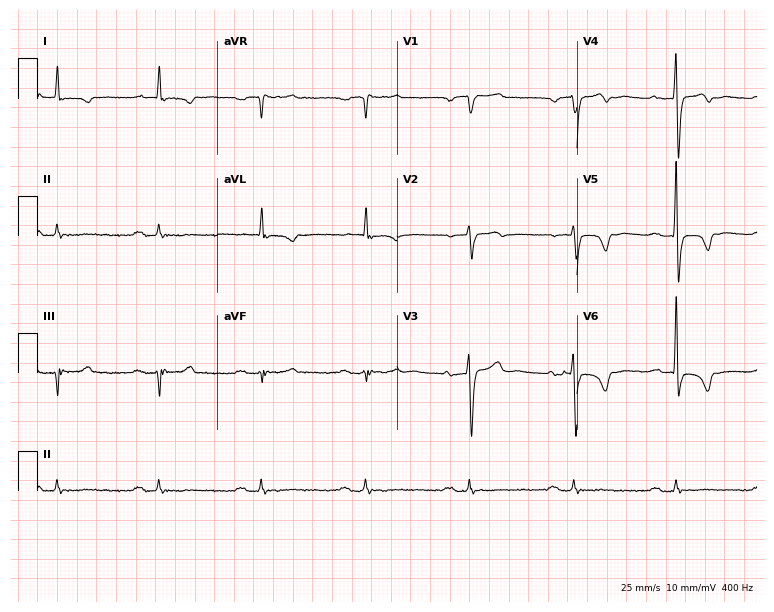
12-lead ECG from a male patient, 74 years old (7.3-second recording at 400 Hz). No first-degree AV block, right bundle branch block (RBBB), left bundle branch block (LBBB), sinus bradycardia, atrial fibrillation (AF) or sinus tachycardia recorded for this tracing.